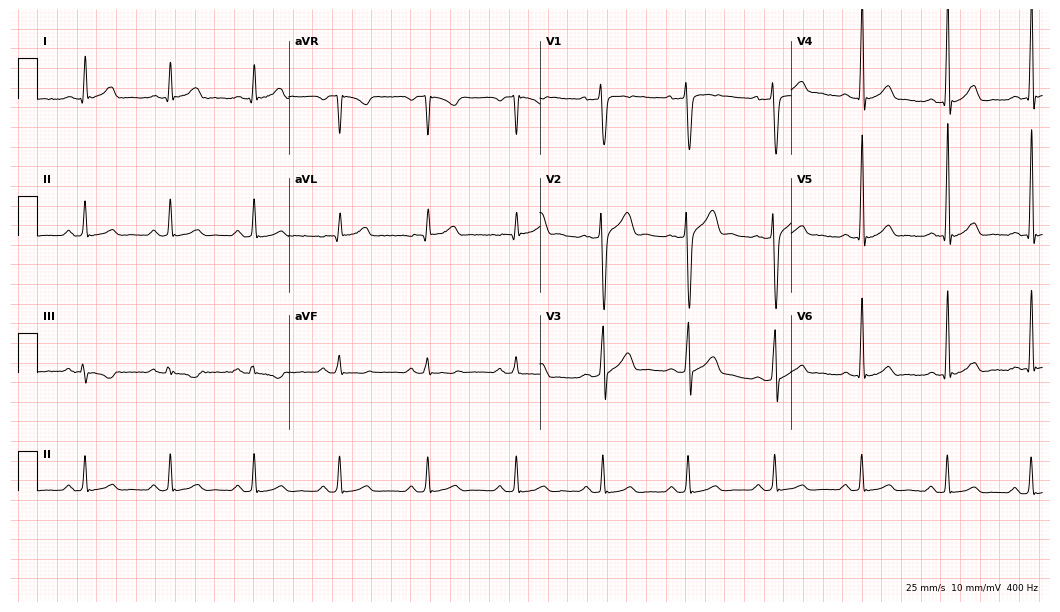
12-lead ECG from a 36-year-old male. Labelled as a normal ECG.